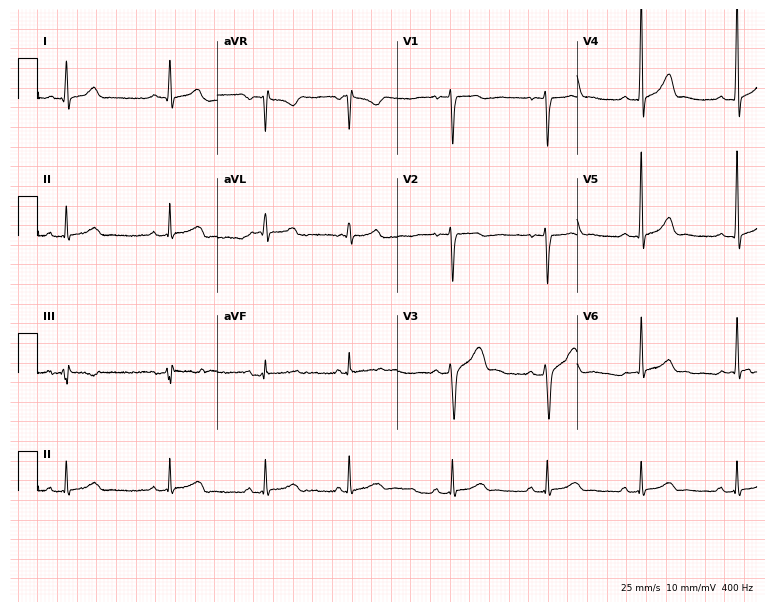
Resting 12-lead electrocardiogram. Patient: a male, 28 years old. Read as a normal ECG.